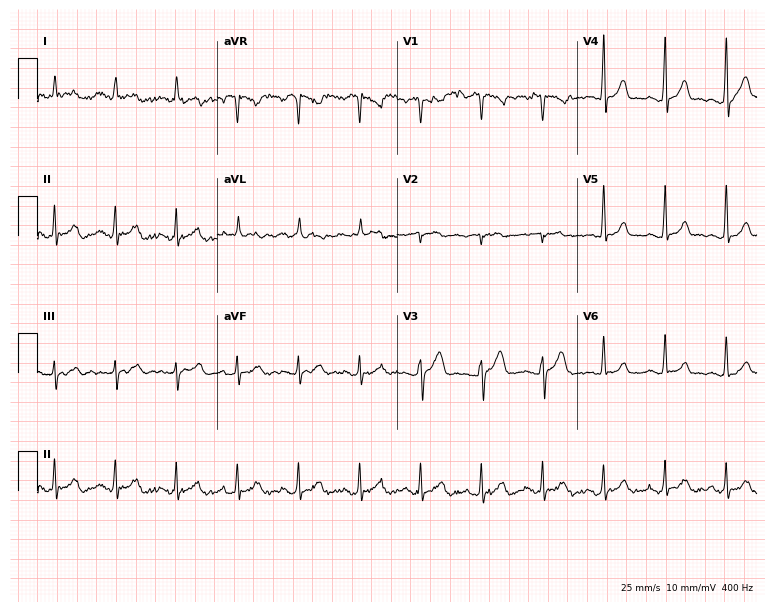
12-lead ECG (7.3-second recording at 400 Hz) from a 57-year-old male. Labelled as a normal ECG.